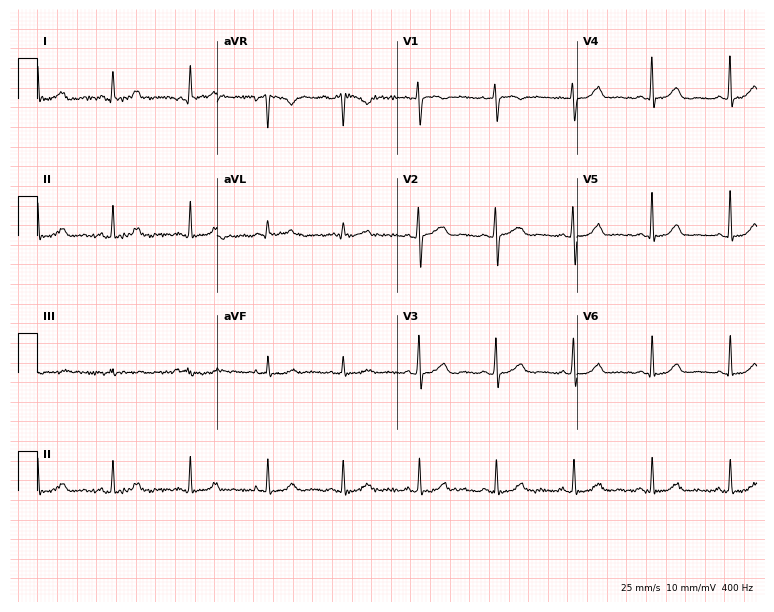
12-lead ECG (7.3-second recording at 400 Hz) from a 42-year-old female. Labelled as a normal ECG.